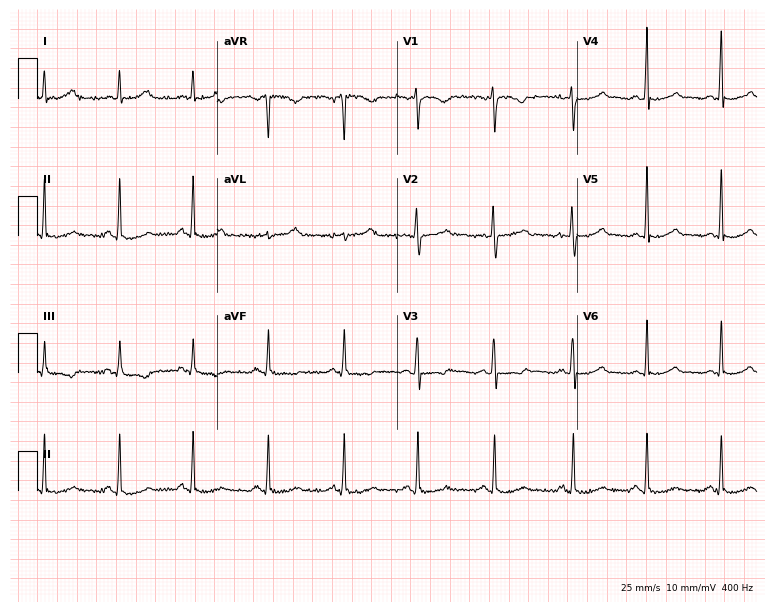
12-lead ECG from a woman, 45 years old (7.3-second recording at 400 Hz). No first-degree AV block, right bundle branch block, left bundle branch block, sinus bradycardia, atrial fibrillation or sinus tachycardia recorded for this tracing. Other findings, if any, are not listed.